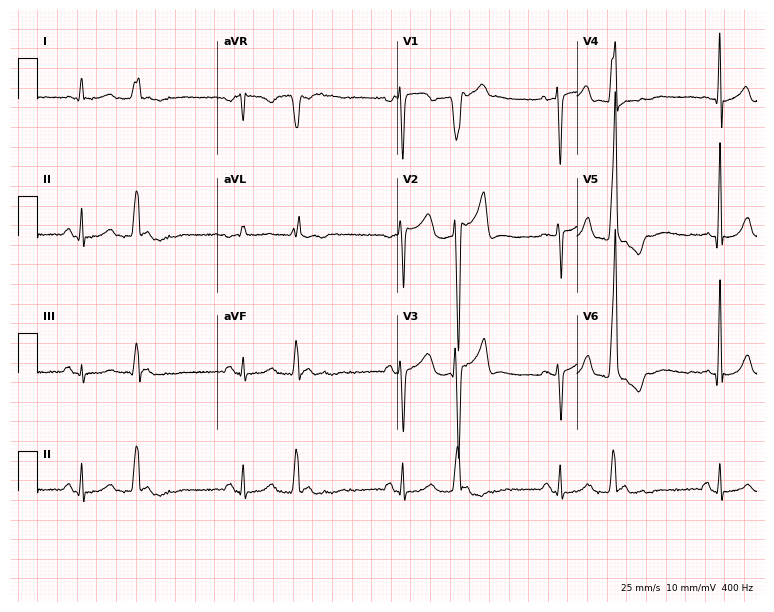
Resting 12-lead electrocardiogram. Patient: a 62-year-old male. None of these six findings is recorded: first-degree AV block, right bundle branch block (RBBB), left bundle branch block (LBBB), sinus bradycardia, atrial fibrillation (AF), sinus tachycardia.